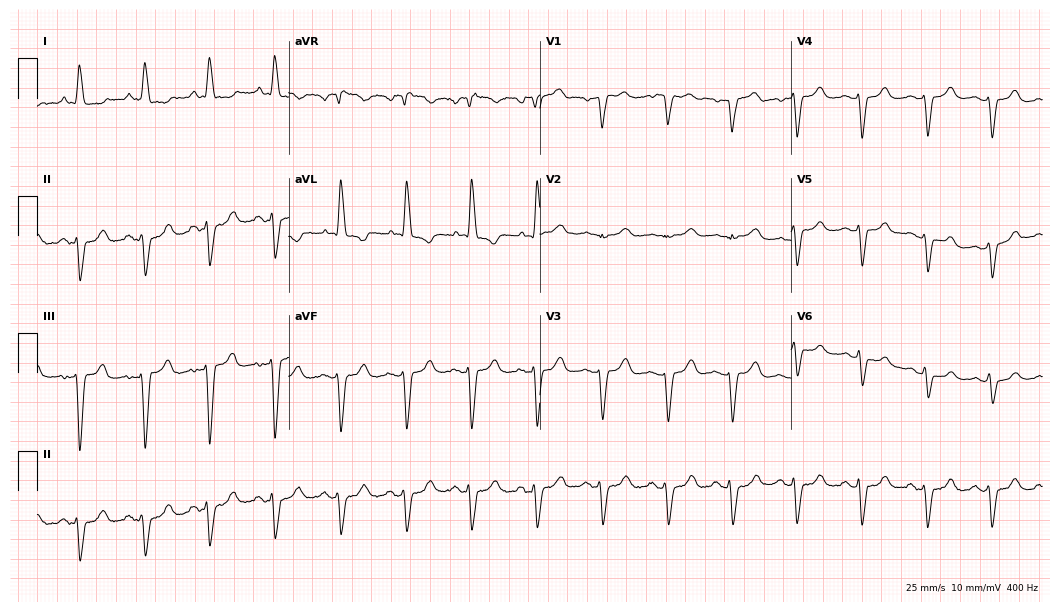
12-lead ECG from a 76-year-old female patient (10.2-second recording at 400 Hz). Shows left bundle branch block.